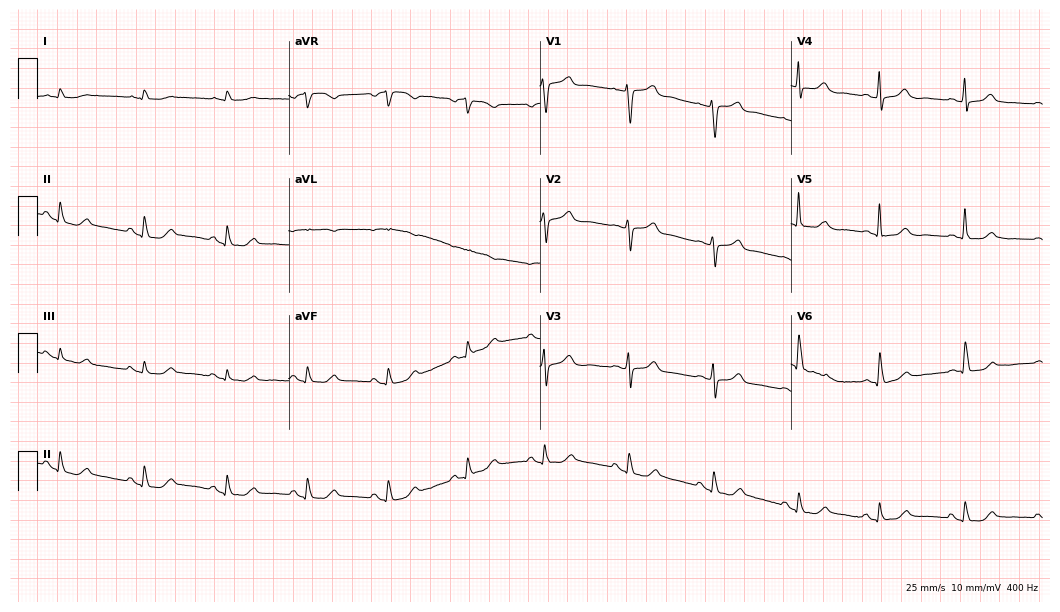
ECG (10.2-second recording at 400 Hz) — an 80-year-old male patient. Screened for six findings — first-degree AV block, right bundle branch block (RBBB), left bundle branch block (LBBB), sinus bradycardia, atrial fibrillation (AF), sinus tachycardia — none is recorded.